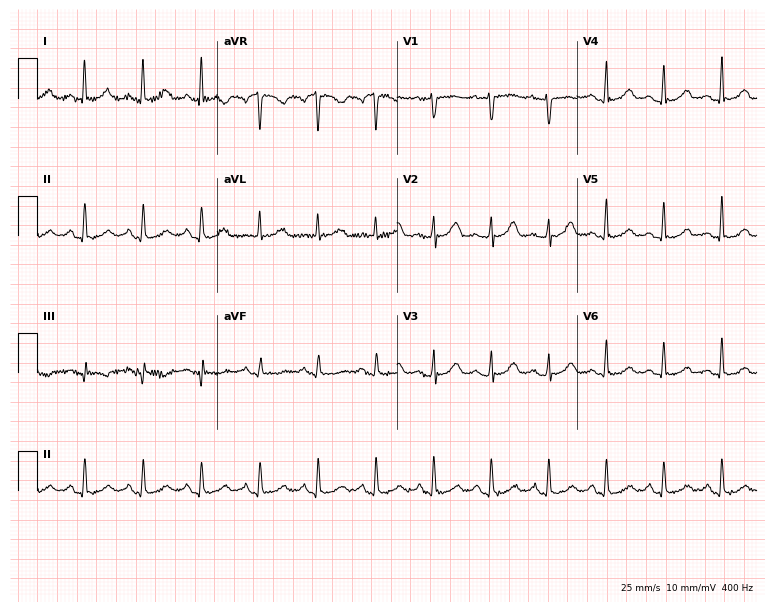
Resting 12-lead electrocardiogram (7.3-second recording at 400 Hz). Patient: a female, 63 years old. The tracing shows sinus tachycardia (a sinus rate of 100 beats per minute or more).